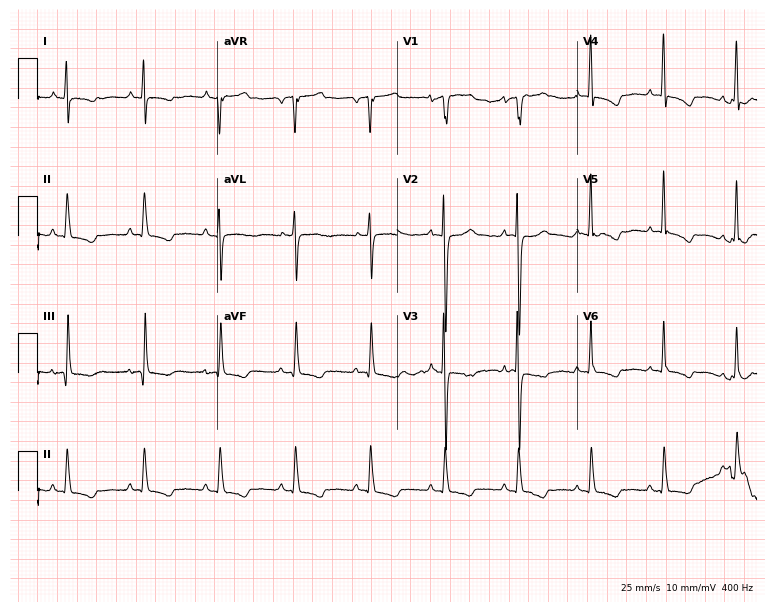
Resting 12-lead electrocardiogram (7.3-second recording at 400 Hz). Patient: a 64-year-old woman. None of these six findings is recorded: first-degree AV block, right bundle branch block (RBBB), left bundle branch block (LBBB), sinus bradycardia, atrial fibrillation (AF), sinus tachycardia. Findings outside these six are not listed.